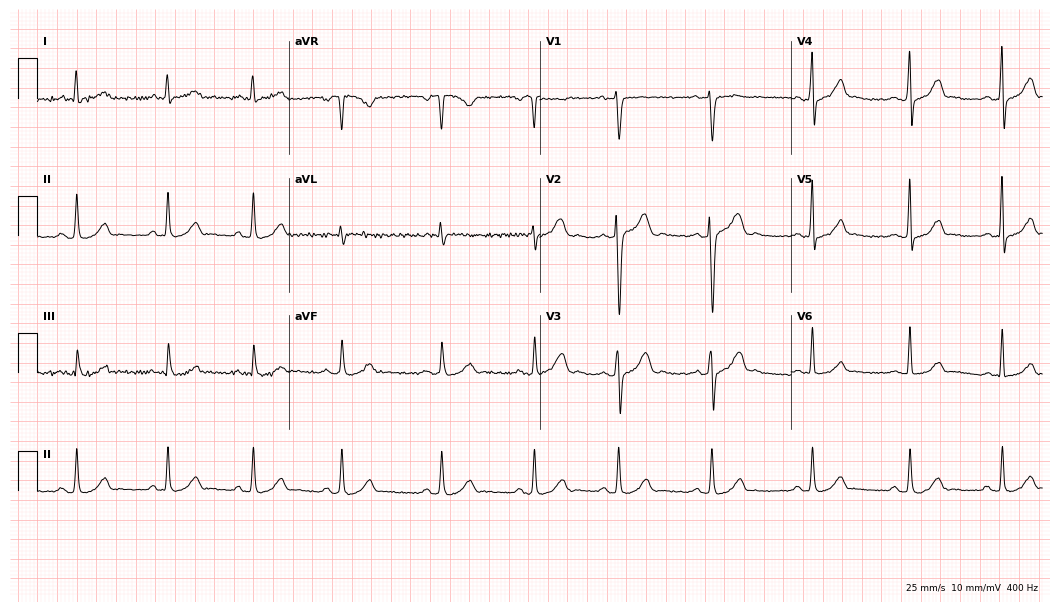
ECG — a woman, 32 years old. Labelled as a normal ECG.